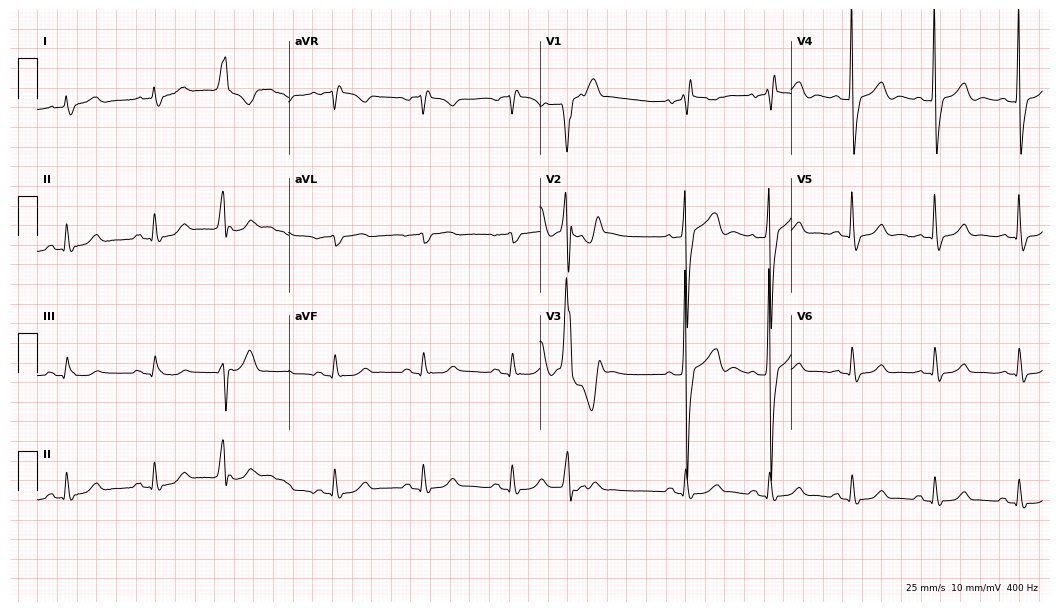
Standard 12-lead ECG recorded from a male patient, 81 years old (10.2-second recording at 400 Hz). The tracing shows right bundle branch block.